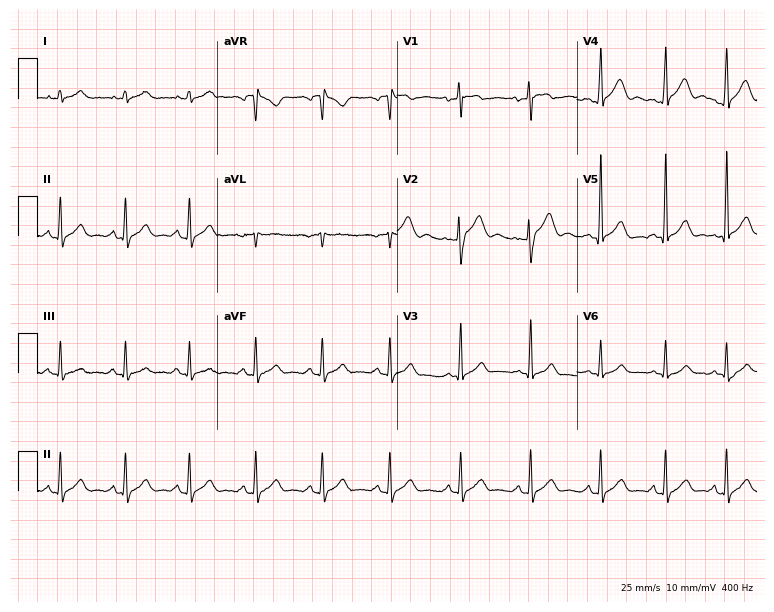
ECG — a 24-year-old man. Labelled as a normal ECG.